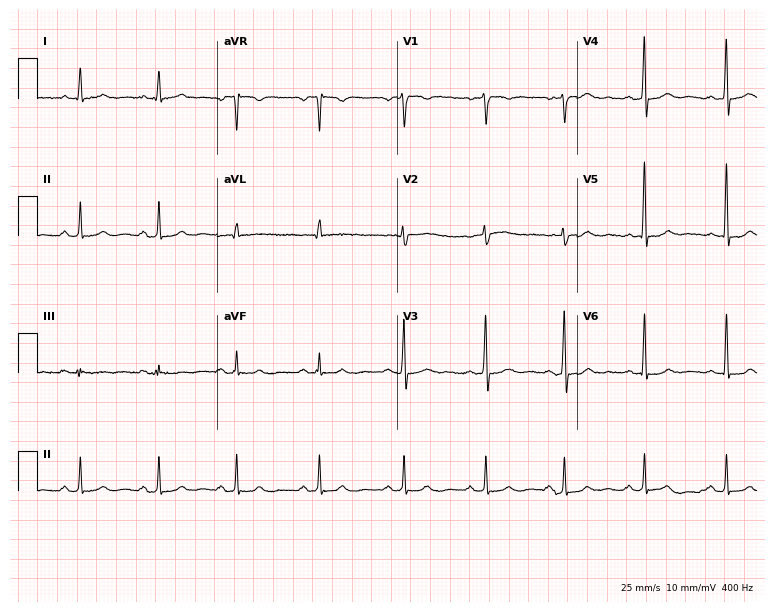
12-lead ECG from a 46-year-old female. No first-degree AV block, right bundle branch block, left bundle branch block, sinus bradycardia, atrial fibrillation or sinus tachycardia recorded for this tracing.